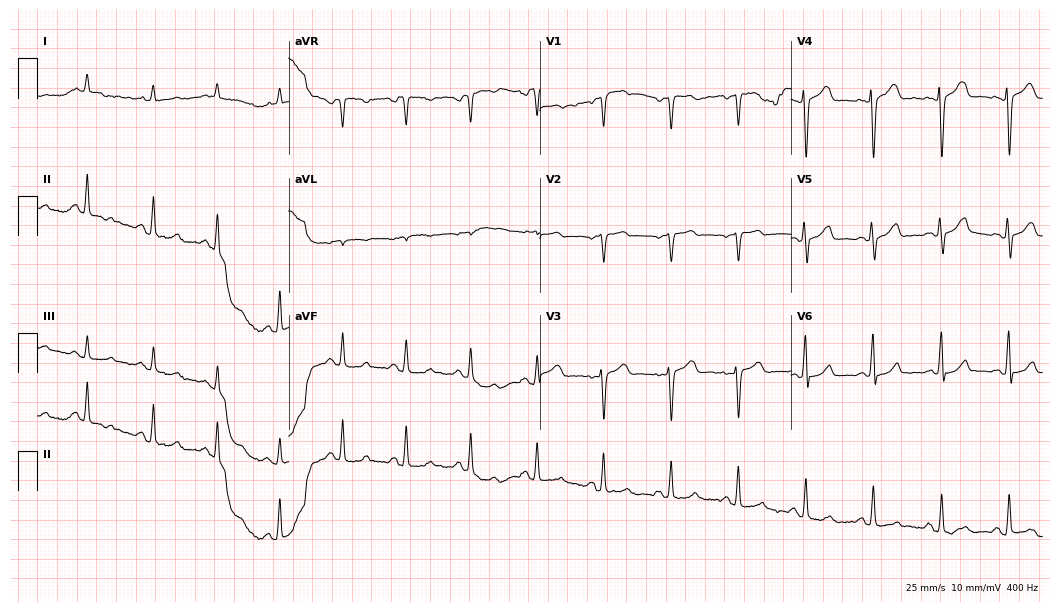
Resting 12-lead electrocardiogram. Patient: a female, 56 years old. None of these six findings is recorded: first-degree AV block, right bundle branch block, left bundle branch block, sinus bradycardia, atrial fibrillation, sinus tachycardia.